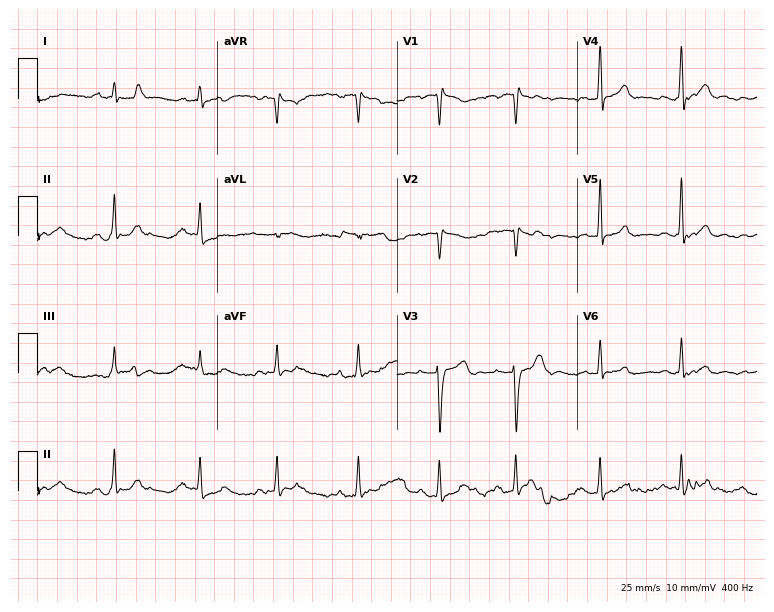
ECG (7.3-second recording at 400 Hz) — a 24-year-old female. Labelled as a normal ECG.